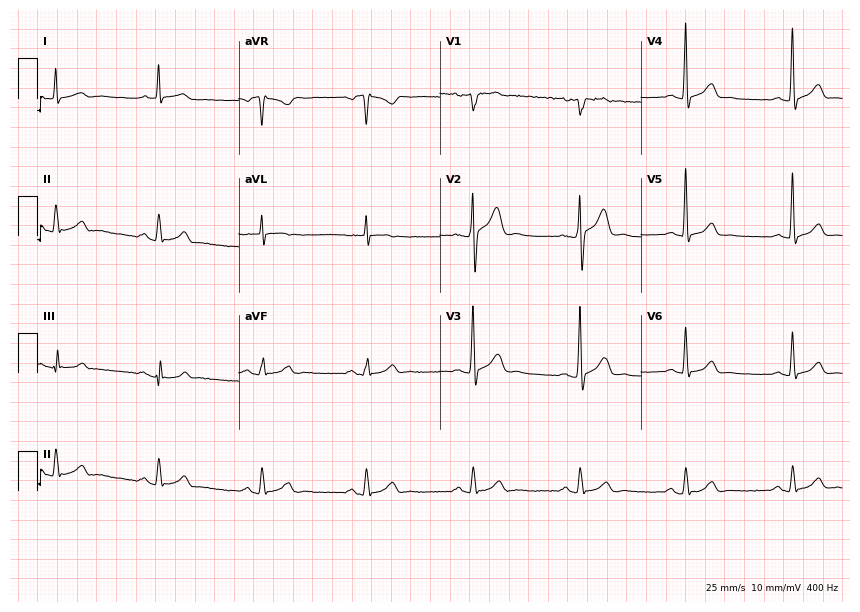
ECG — a male patient, 44 years old. Labelled as a normal ECG.